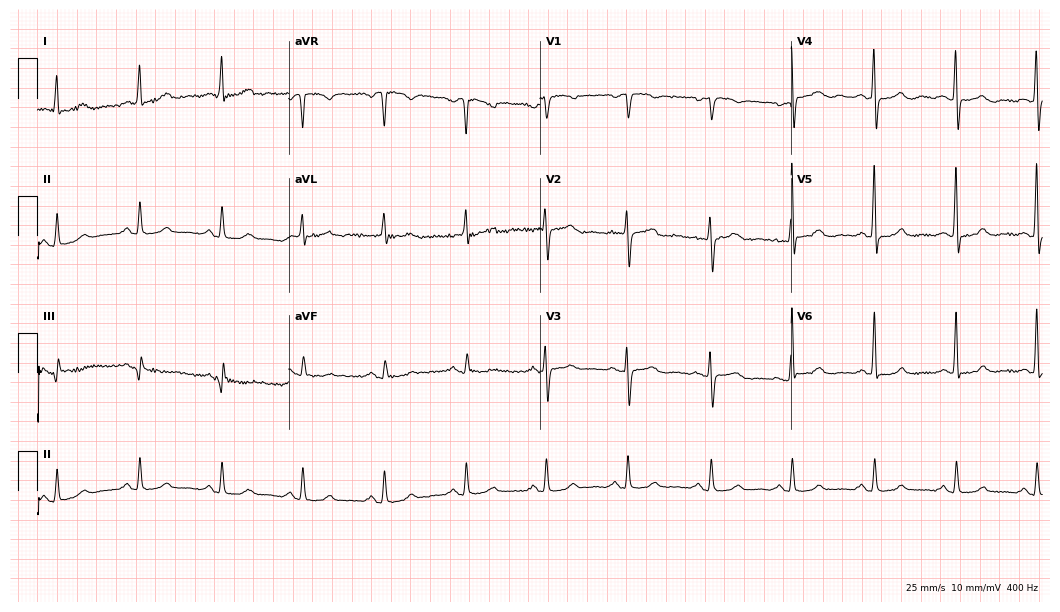
Resting 12-lead electrocardiogram (10.2-second recording at 400 Hz). Patient: a female, 79 years old. Read as a normal ECG.